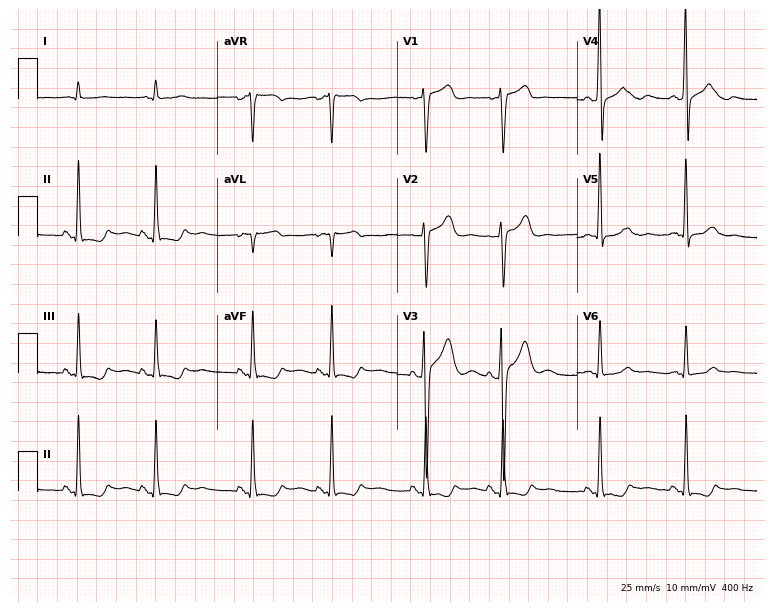
12-lead ECG from a 56-year-old male. No first-degree AV block, right bundle branch block, left bundle branch block, sinus bradycardia, atrial fibrillation or sinus tachycardia recorded for this tracing. Other findings, if any, are not listed.